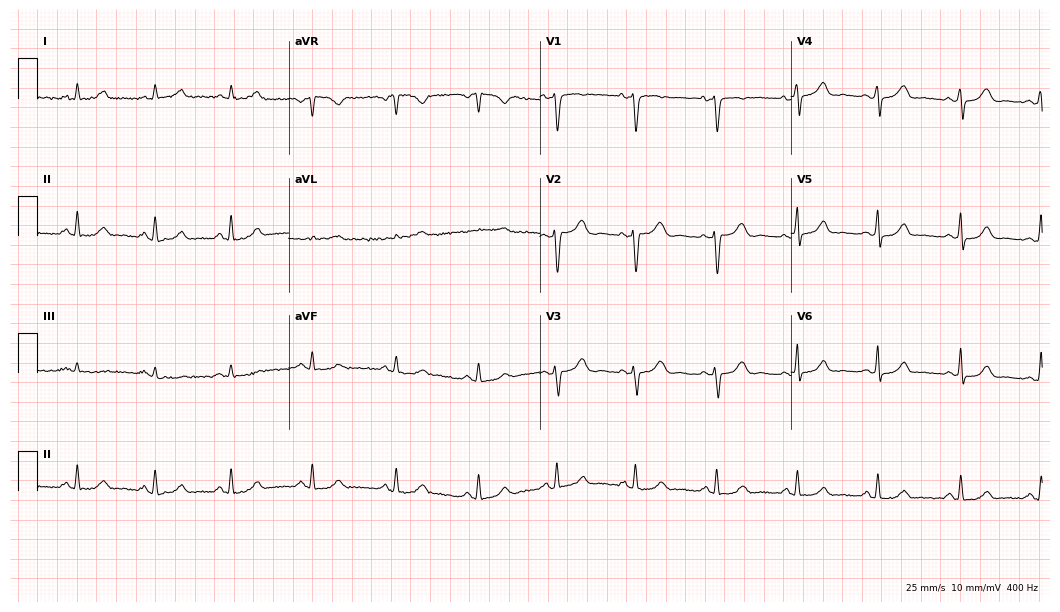
ECG — a female patient, 44 years old. Labelled as a normal ECG.